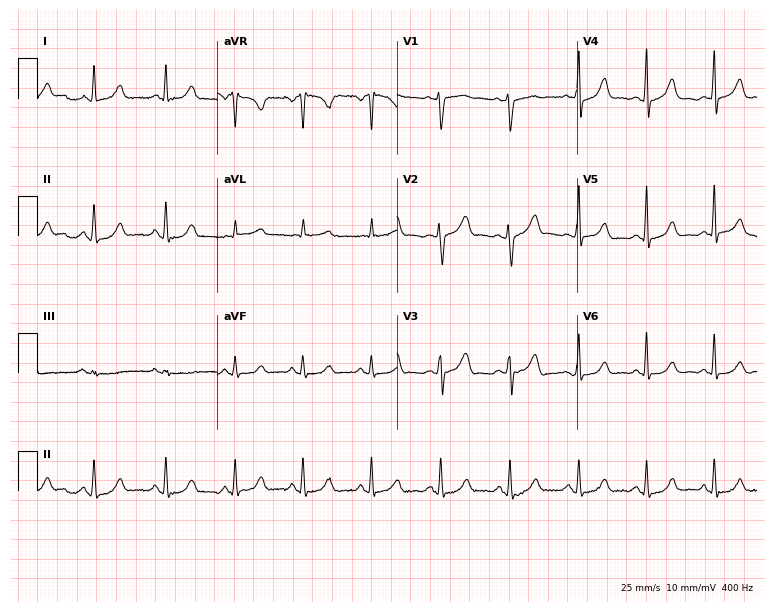
12-lead ECG from a 49-year-old woman. Screened for six findings — first-degree AV block, right bundle branch block, left bundle branch block, sinus bradycardia, atrial fibrillation, sinus tachycardia — none is recorded. Findings outside these six are not listed.